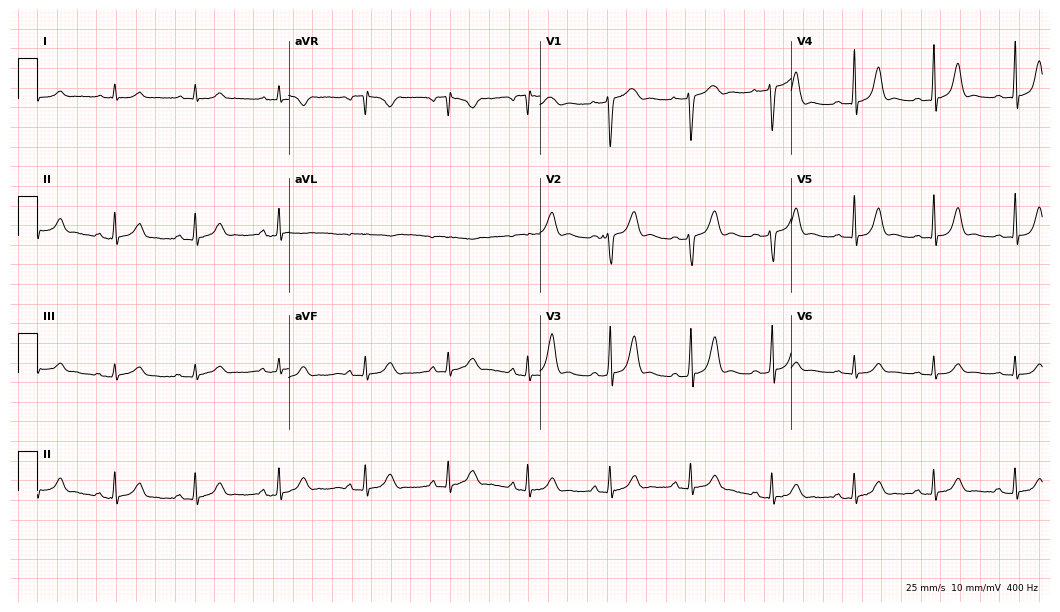
Standard 12-lead ECG recorded from a 22-year-old female patient (10.2-second recording at 400 Hz). None of these six findings is recorded: first-degree AV block, right bundle branch block, left bundle branch block, sinus bradycardia, atrial fibrillation, sinus tachycardia.